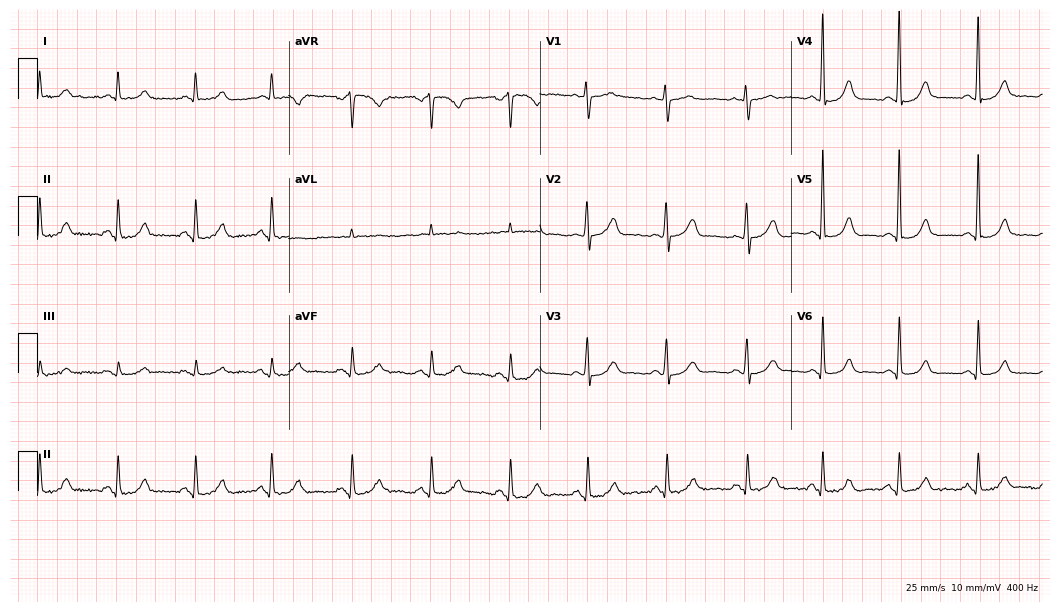
Resting 12-lead electrocardiogram (10.2-second recording at 400 Hz). Patient: a 76-year-old female. Read as a normal ECG.